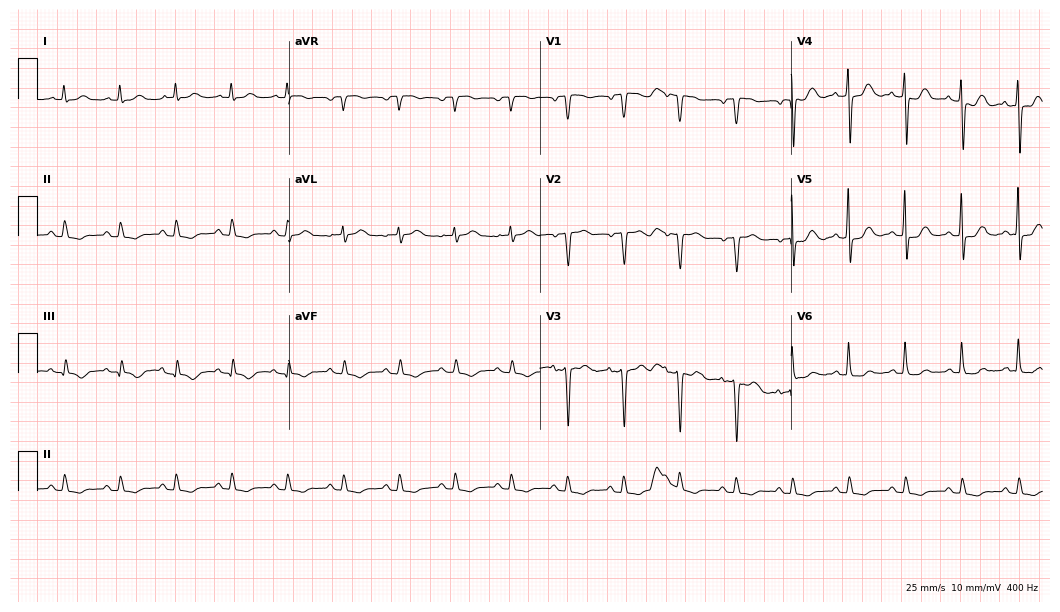
ECG (10.2-second recording at 400 Hz) — a female, 79 years old. Screened for six findings — first-degree AV block, right bundle branch block (RBBB), left bundle branch block (LBBB), sinus bradycardia, atrial fibrillation (AF), sinus tachycardia — none is recorded.